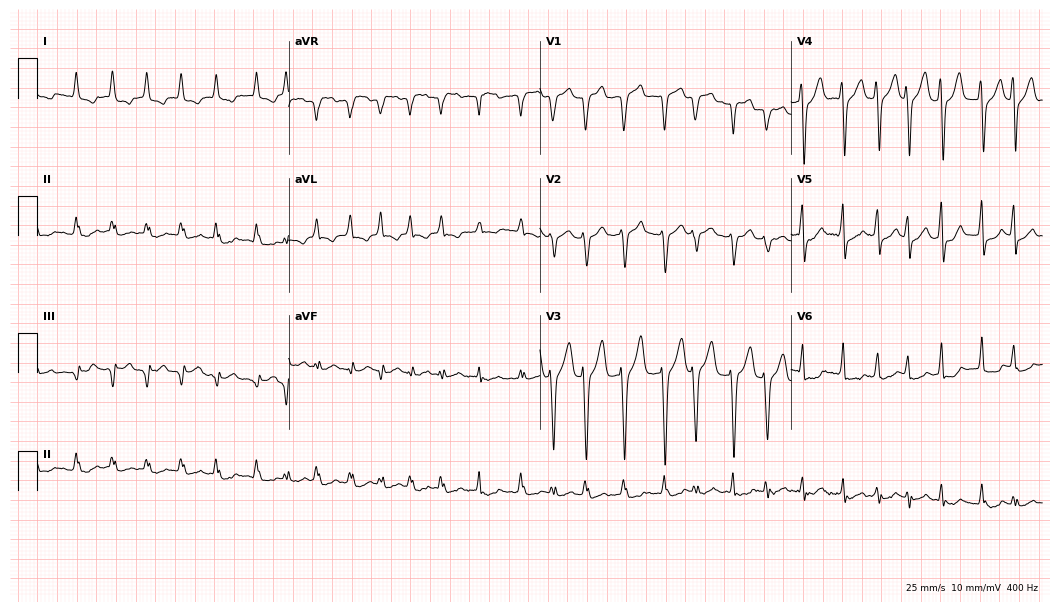
12-lead ECG from a man, 62 years old. Screened for six findings — first-degree AV block, right bundle branch block, left bundle branch block, sinus bradycardia, atrial fibrillation, sinus tachycardia — none is recorded. Only these six findings were labelled.